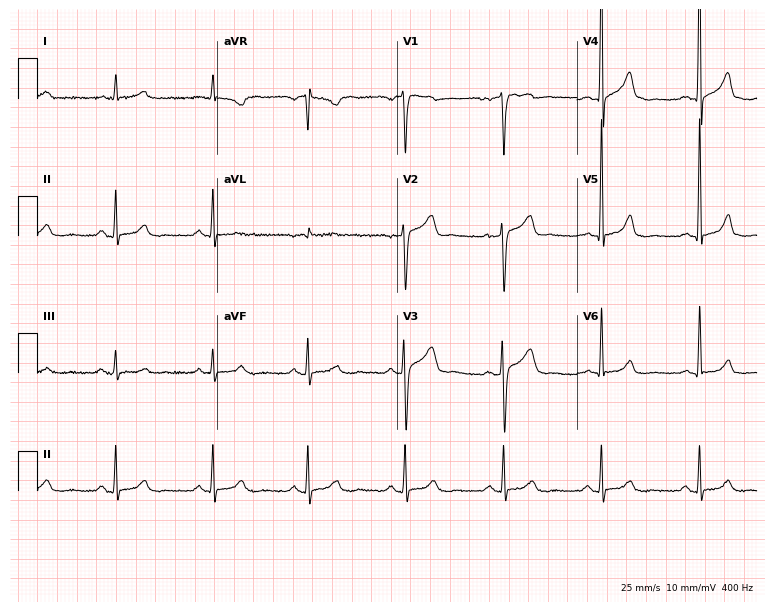
Resting 12-lead electrocardiogram (7.3-second recording at 400 Hz). Patient: a man, 66 years old. Read as a normal ECG.